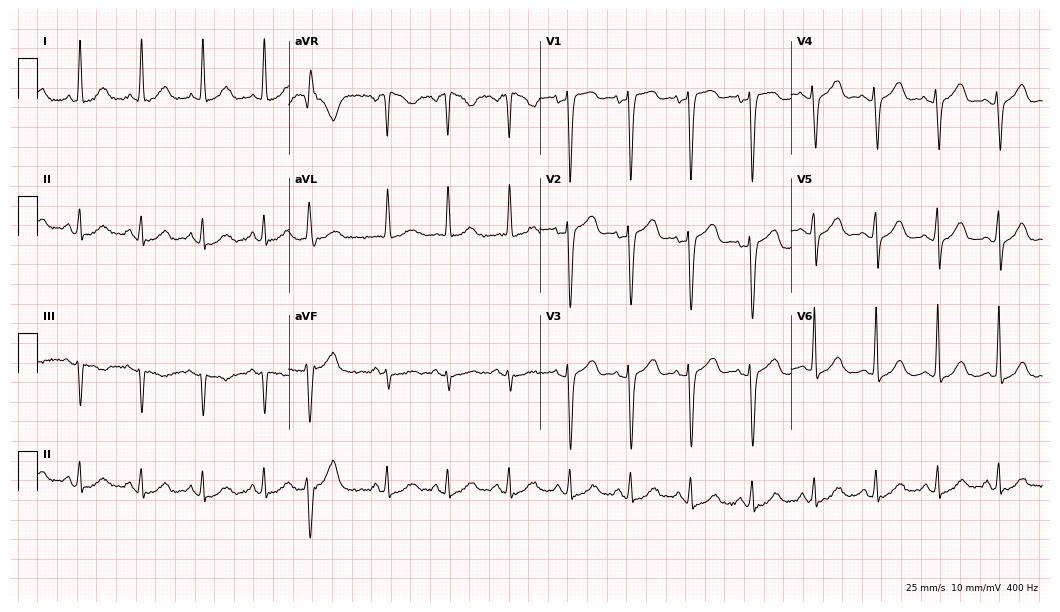
ECG — a female patient, 64 years old. Screened for six findings — first-degree AV block, right bundle branch block (RBBB), left bundle branch block (LBBB), sinus bradycardia, atrial fibrillation (AF), sinus tachycardia — none is recorded. Other findings, if any, are not listed.